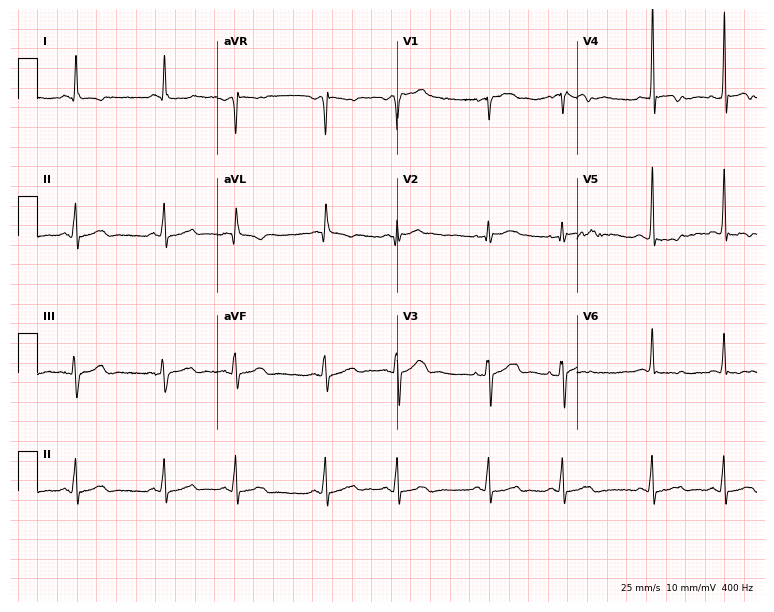
ECG — a 64-year-old male patient. Screened for six findings — first-degree AV block, right bundle branch block (RBBB), left bundle branch block (LBBB), sinus bradycardia, atrial fibrillation (AF), sinus tachycardia — none is recorded. Findings outside these six are not listed.